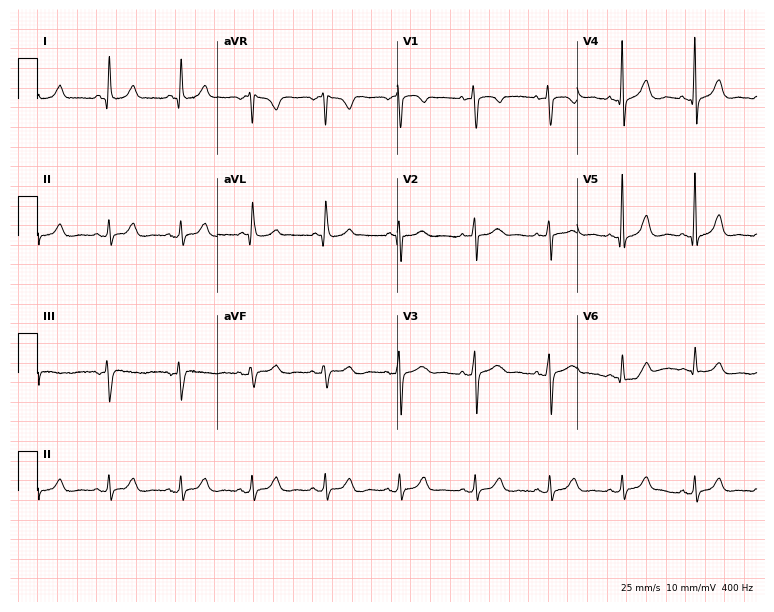
Electrocardiogram (7.3-second recording at 400 Hz), a 55-year-old woman. Overall reading on record: normal ECG.